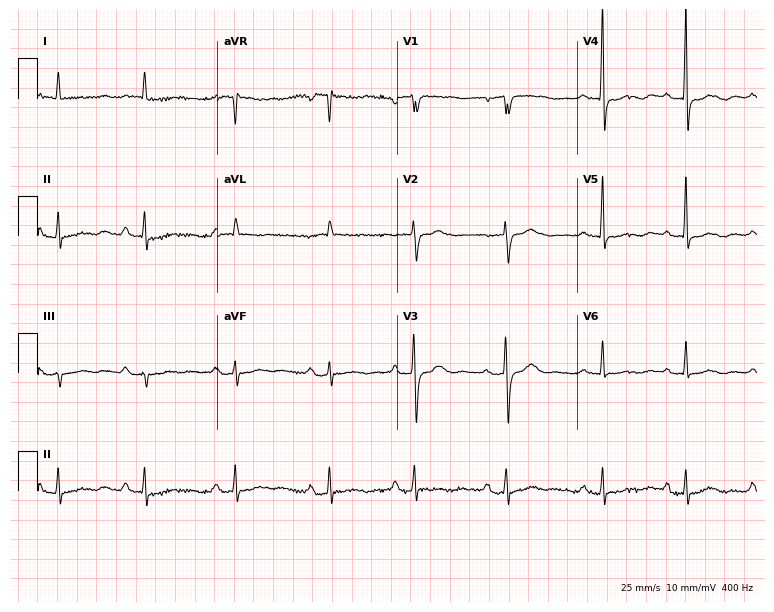
12-lead ECG from a 78-year-old male patient. Shows first-degree AV block.